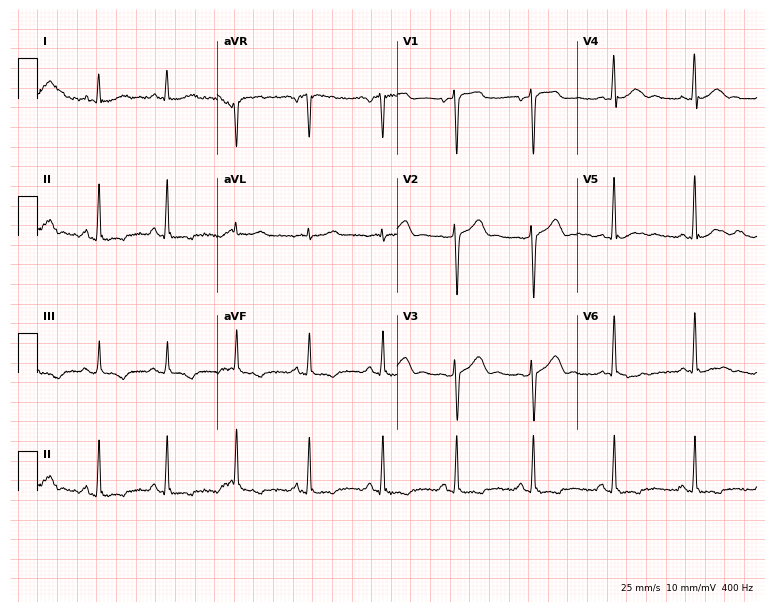
ECG (7.3-second recording at 400 Hz) — a male patient, 45 years old. Screened for six findings — first-degree AV block, right bundle branch block, left bundle branch block, sinus bradycardia, atrial fibrillation, sinus tachycardia — none is recorded. Findings outside these six are not listed.